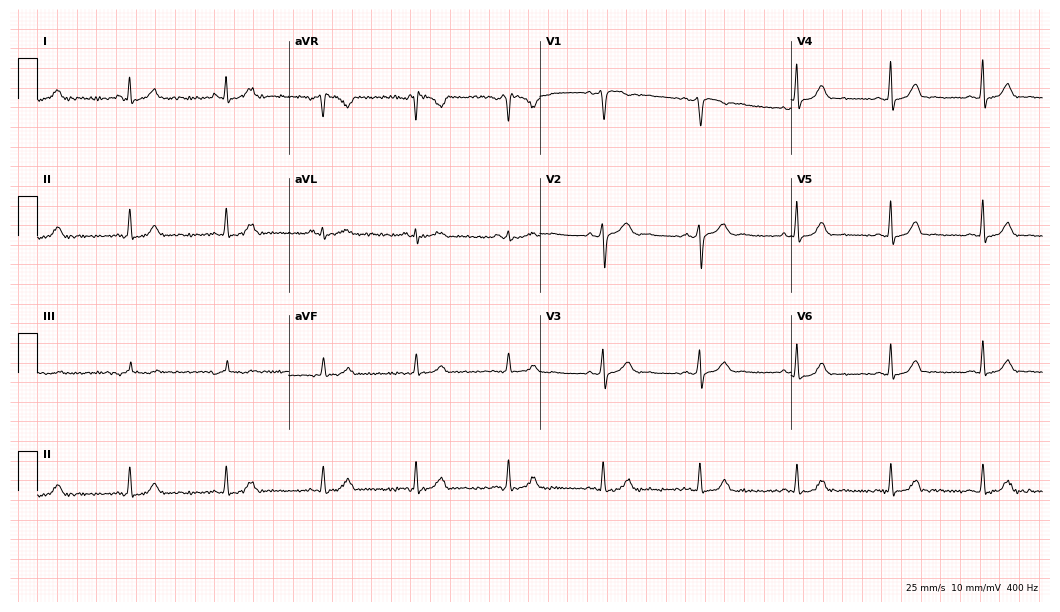
ECG — a woman, 39 years old. Labelled as a normal ECG.